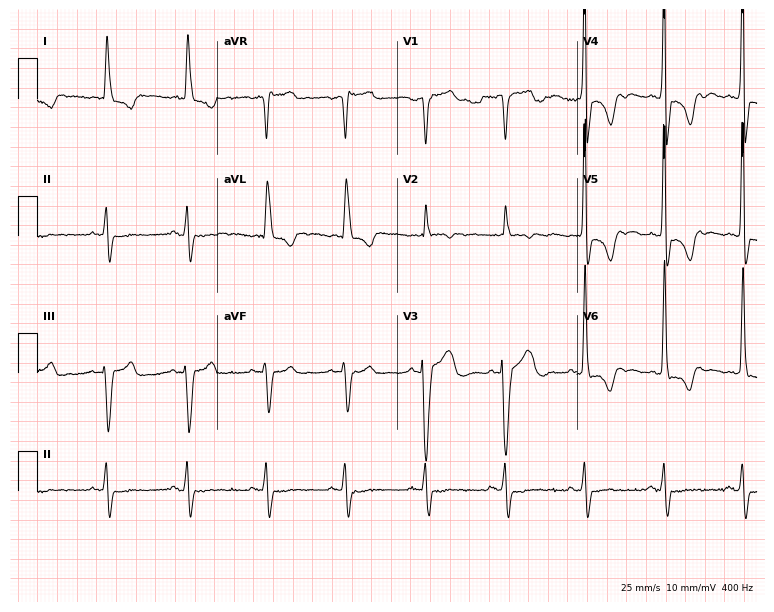
Resting 12-lead electrocardiogram. Patient: a man, 76 years old. None of these six findings is recorded: first-degree AV block, right bundle branch block, left bundle branch block, sinus bradycardia, atrial fibrillation, sinus tachycardia.